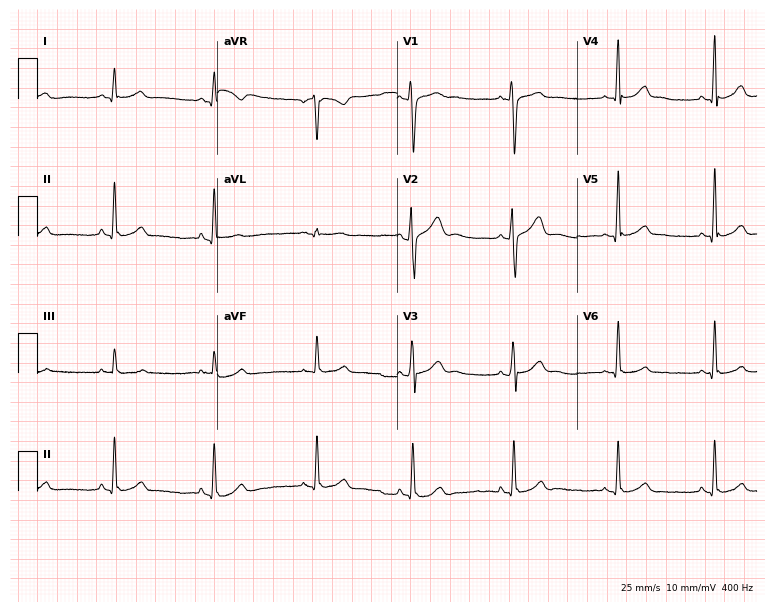
12-lead ECG from an 18-year-old man (7.3-second recording at 400 Hz). Recorded interpretation: within normal limits.